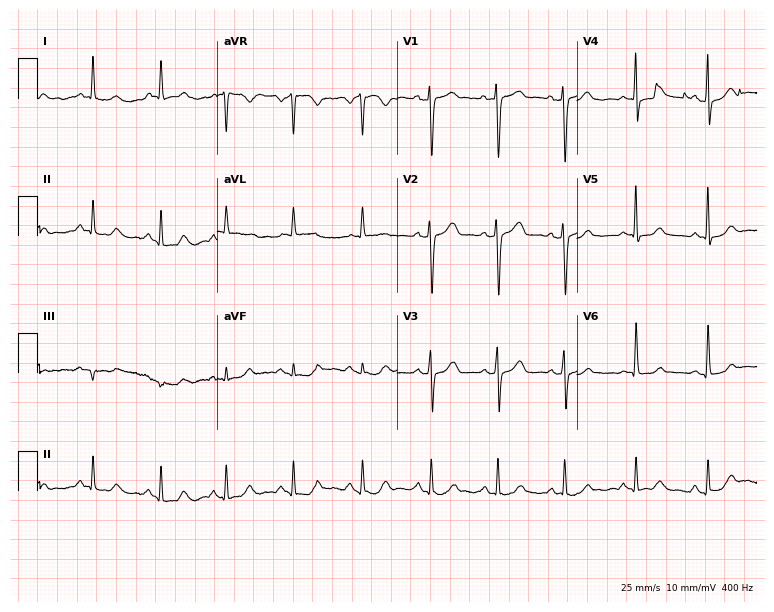
ECG (7.3-second recording at 400 Hz) — a female, 53 years old. Screened for six findings — first-degree AV block, right bundle branch block (RBBB), left bundle branch block (LBBB), sinus bradycardia, atrial fibrillation (AF), sinus tachycardia — none is recorded.